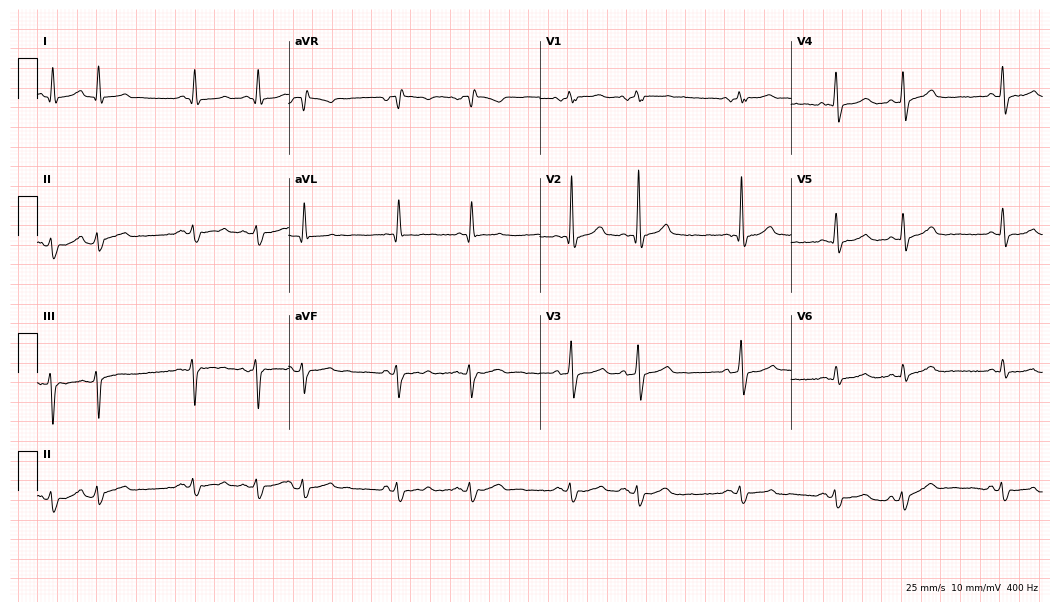
Electrocardiogram (10.2-second recording at 400 Hz), a 77-year-old male. Of the six screened findings (first-degree AV block, right bundle branch block, left bundle branch block, sinus bradycardia, atrial fibrillation, sinus tachycardia), none is recorded. Findings outside these six are not listed.